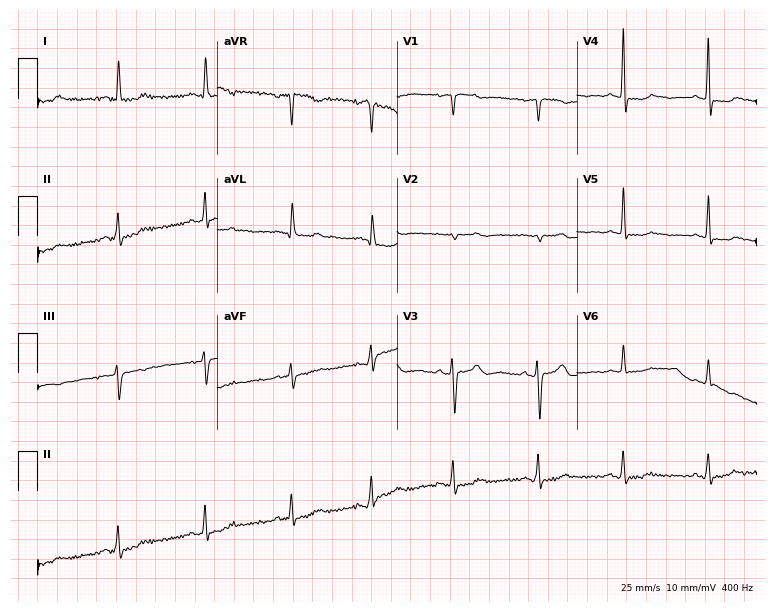
Electrocardiogram (7.3-second recording at 400 Hz), a 62-year-old woman. Of the six screened findings (first-degree AV block, right bundle branch block (RBBB), left bundle branch block (LBBB), sinus bradycardia, atrial fibrillation (AF), sinus tachycardia), none is recorded. Other findings, if any, are not listed.